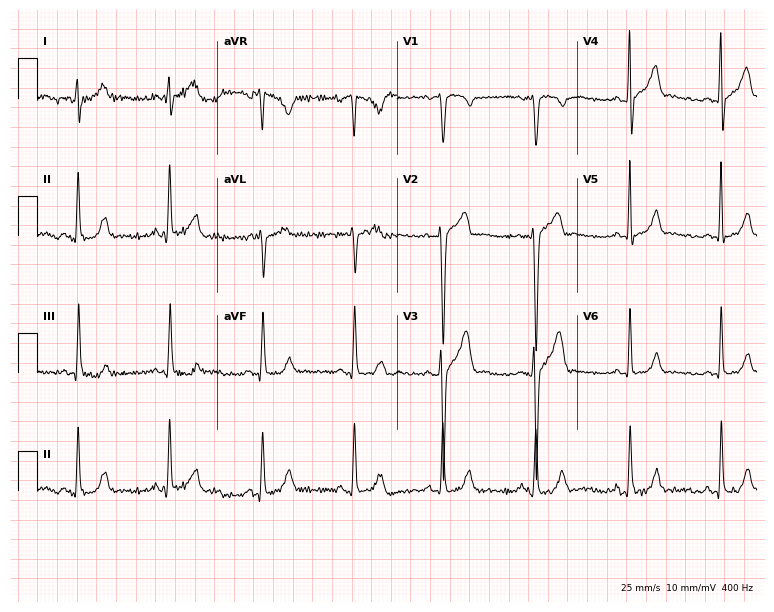
12-lead ECG from a male patient, 29 years old (7.3-second recording at 400 Hz). No first-degree AV block, right bundle branch block, left bundle branch block, sinus bradycardia, atrial fibrillation or sinus tachycardia recorded for this tracing.